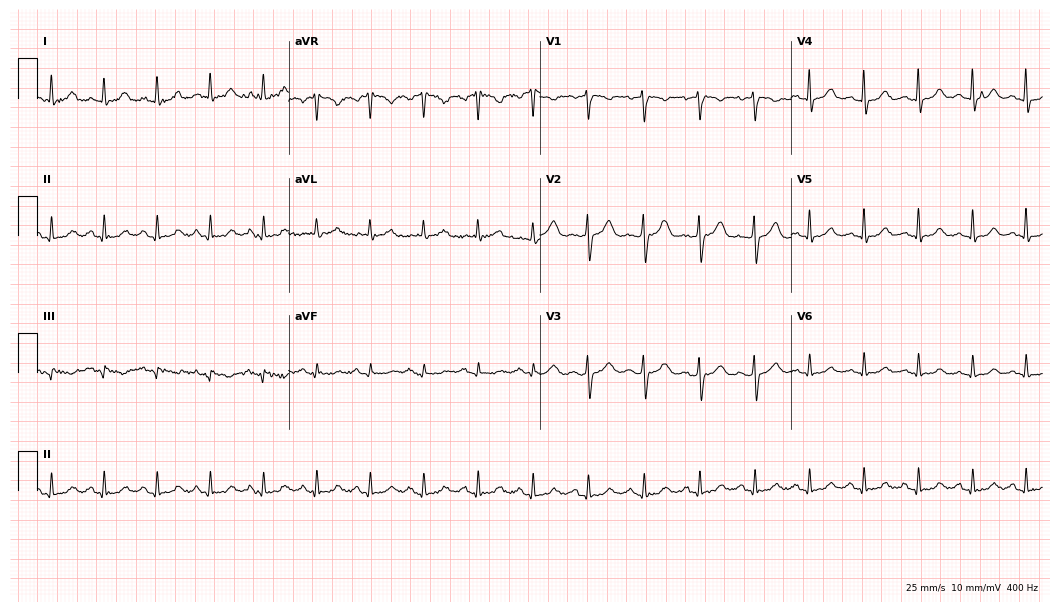
ECG (10.2-second recording at 400 Hz) — a woman, 53 years old. Findings include sinus tachycardia (a sinus rate of 100 beats per minute or more).